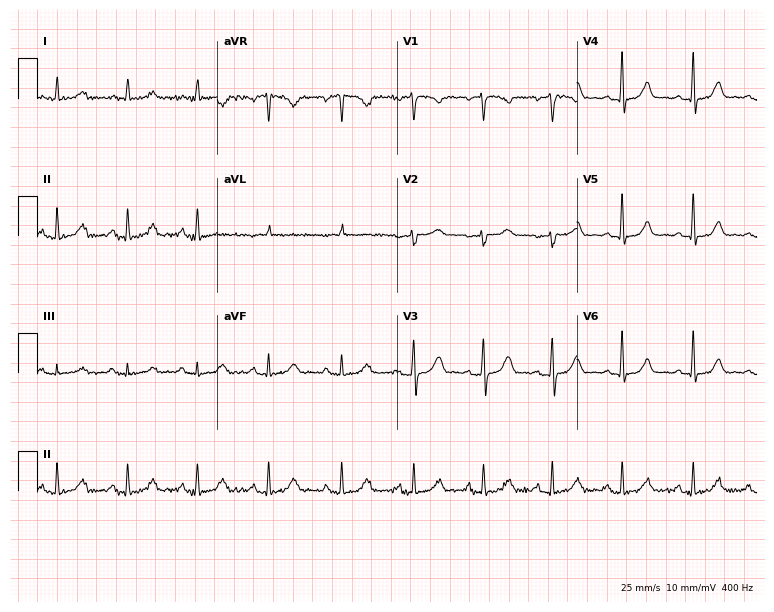
ECG (7.3-second recording at 400 Hz) — a 38-year-old female patient. Labelled as a normal ECG.